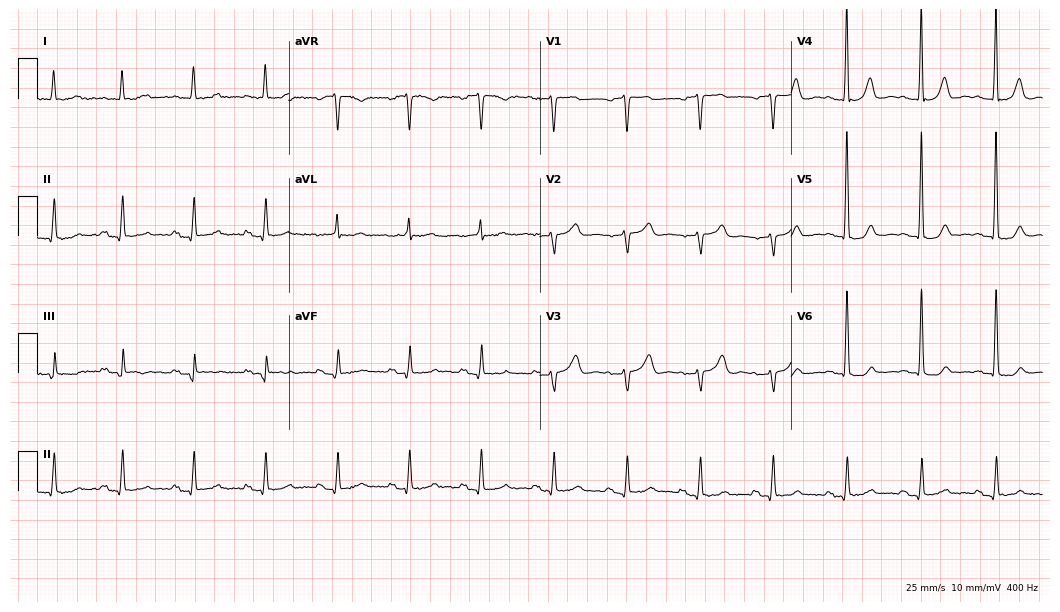
12-lead ECG from a 78-year-old female. No first-degree AV block, right bundle branch block (RBBB), left bundle branch block (LBBB), sinus bradycardia, atrial fibrillation (AF) or sinus tachycardia recorded for this tracing.